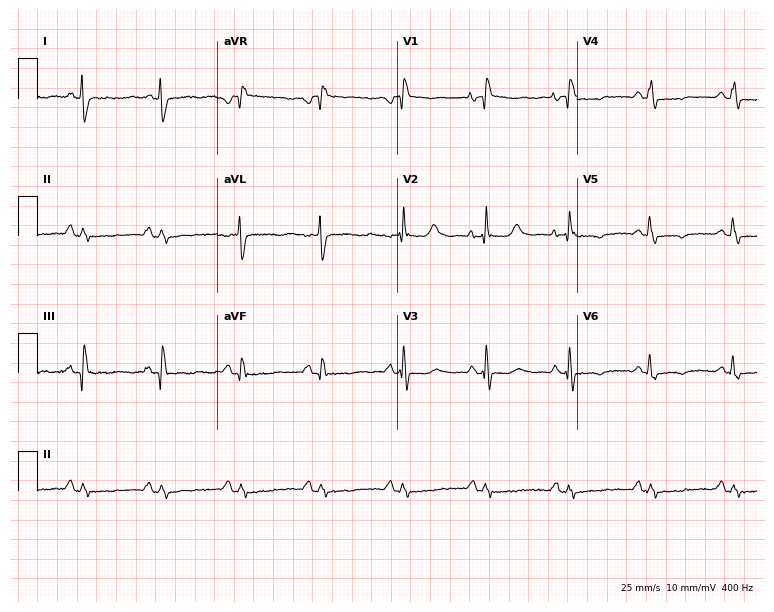
ECG (7.3-second recording at 400 Hz) — a female patient, 37 years old. Screened for six findings — first-degree AV block, right bundle branch block, left bundle branch block, sinus bradycardia, atrial fibrillation, sinus tachycardia — none is recorded.